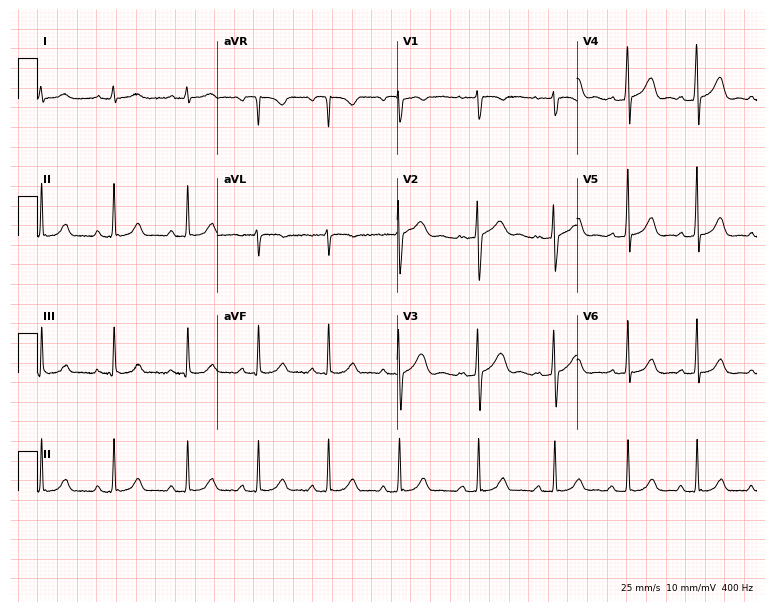
Resting 12-lead electrocardiogram. Patient: a 23-year-old woman. Read as a normal ECG.